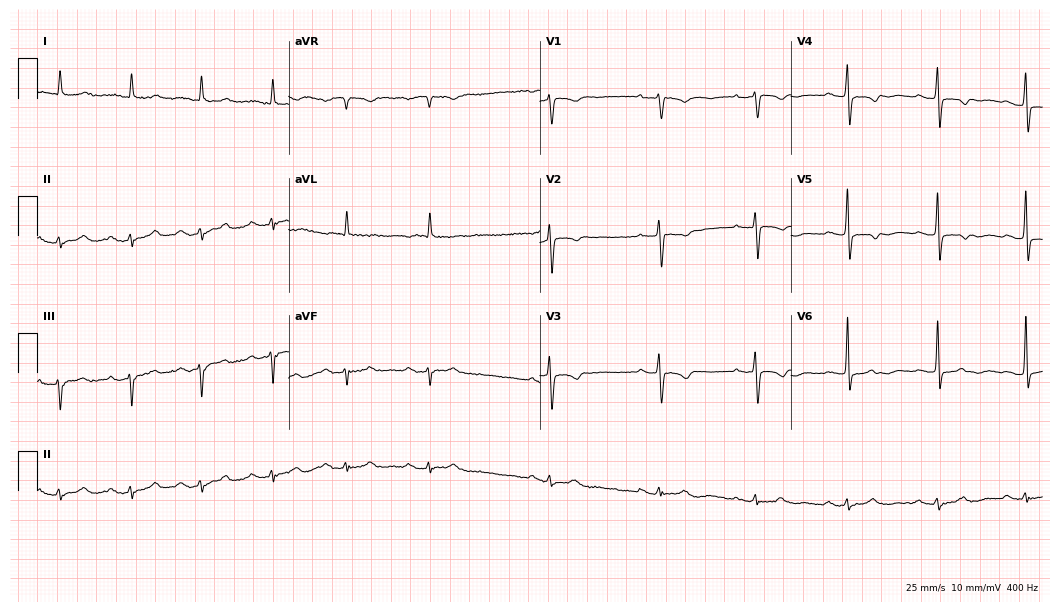
12-lead ECG (10.2-second recording at 400 Hz) from a female patient, 84 years old. Findings include first-degree AV block.